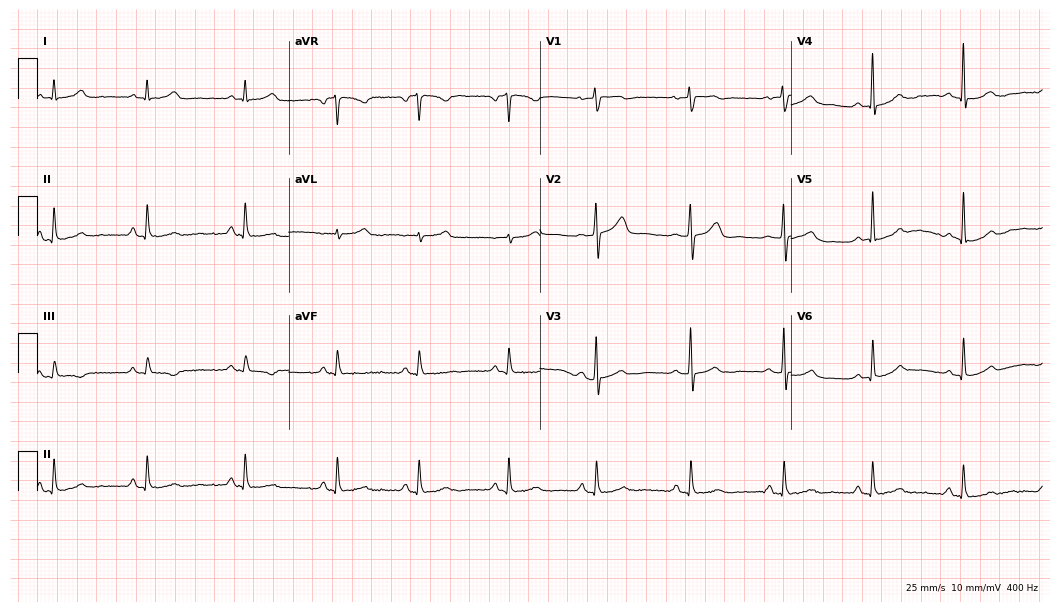
12-lead ECG from a woman, 44 years old. Screened for six findings — first-degree AV block, right bundle branch block (RBBB), left bundle branch block (LBBB), sinus bradycardia, atrial fibrillation (AF), sinus tachycardia — none is recorded. Findings outside these six are not listed.